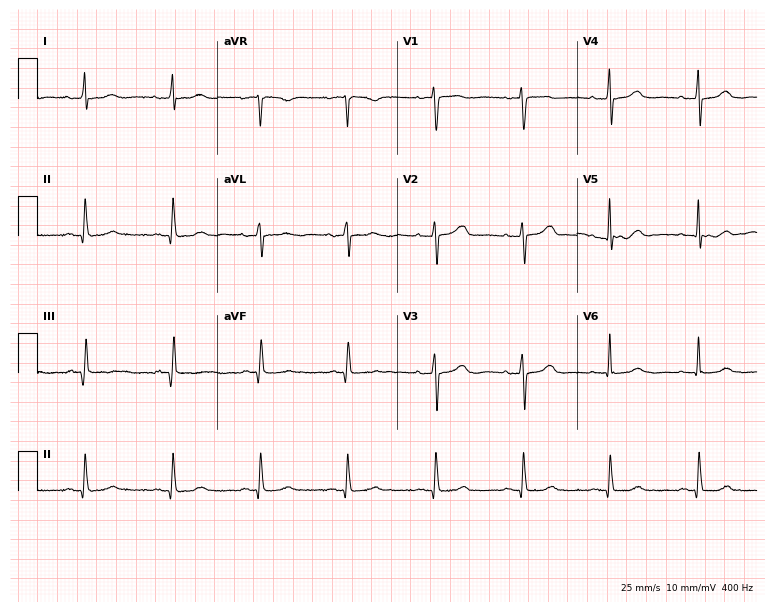
Resting 12-lead electrocardiogram. Patient: an 80-year-old female. Read as a normal ECG.